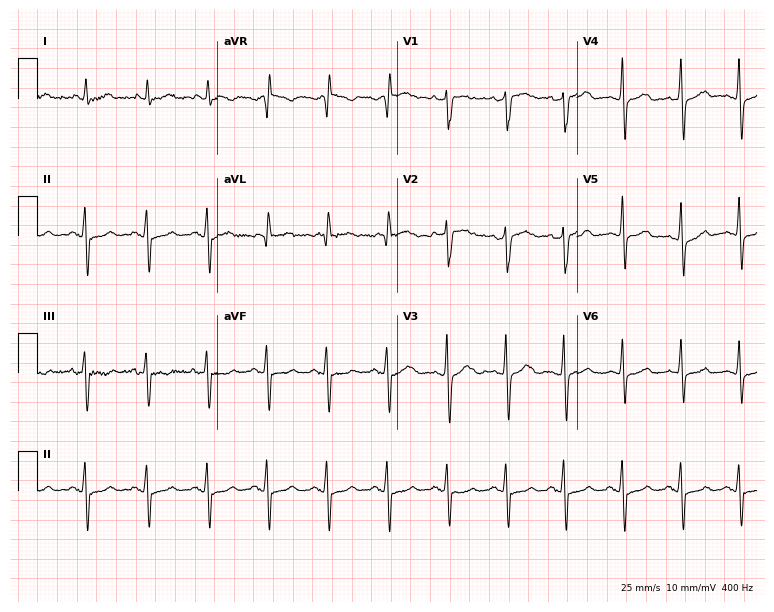
Standard 12-lead ECG recorded from a 57-year-old male. Read as a normal ECG.